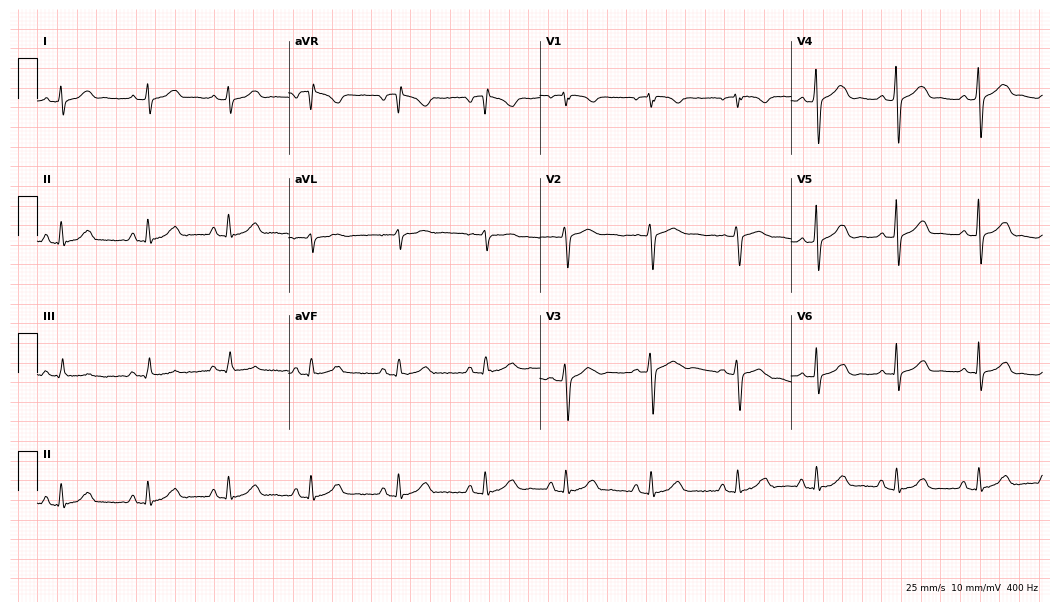
Electrocardiogram, a 42-year-old female. Of the six screened findings (first-degree AV block, right bundle branch block (RBBB), left bundle branch block (LBBB), sinus bradycardia, atrial fibrillation (AF), sinus tachycardia), none is recorded. Other findings, if any, are not listed.